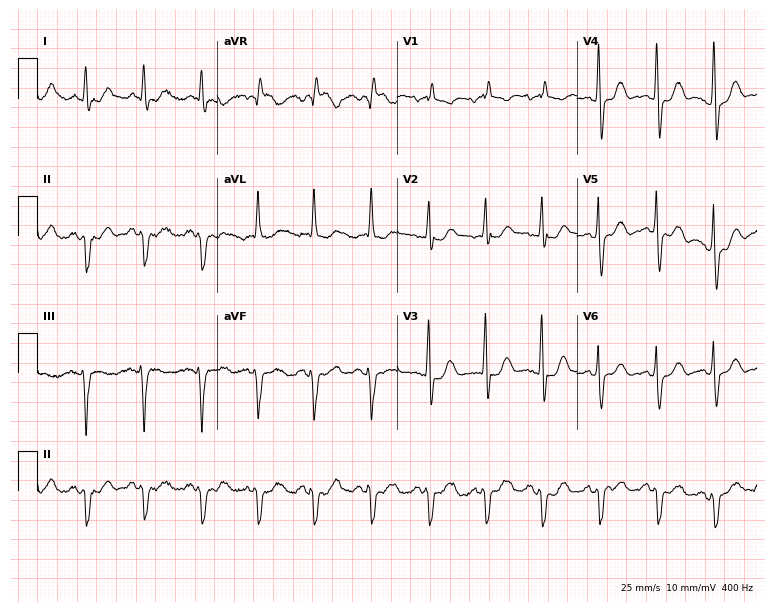
12-lead ECG (7.3-second recording at 400 Hz) from a woman, 77 years old. Screened for six findings — first-degree AV block, right bundle branch block, left bundle branch block, sinus bradycardia, atrial fibrillation, sinus tachycardia — none is recorded. Only these six findings were labelled.